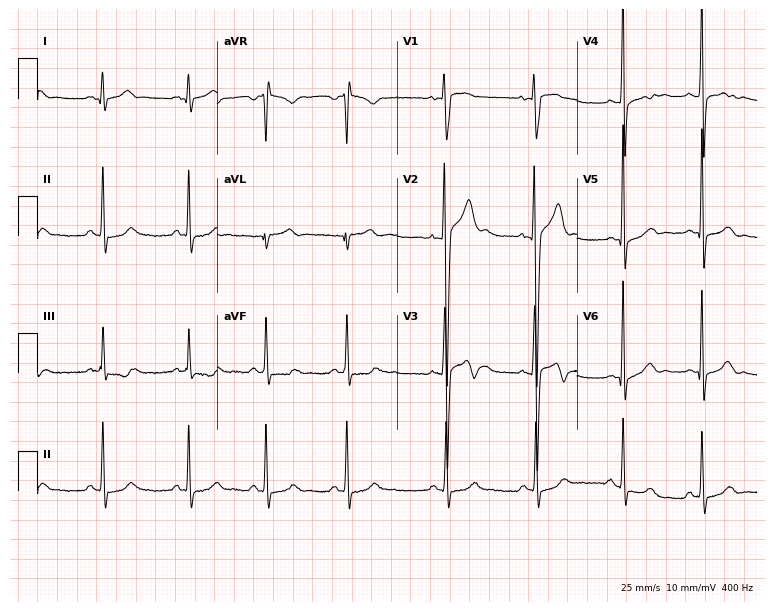
Electrocardiogram, an 18-year-old man. Overall reading on record: normal ECG.